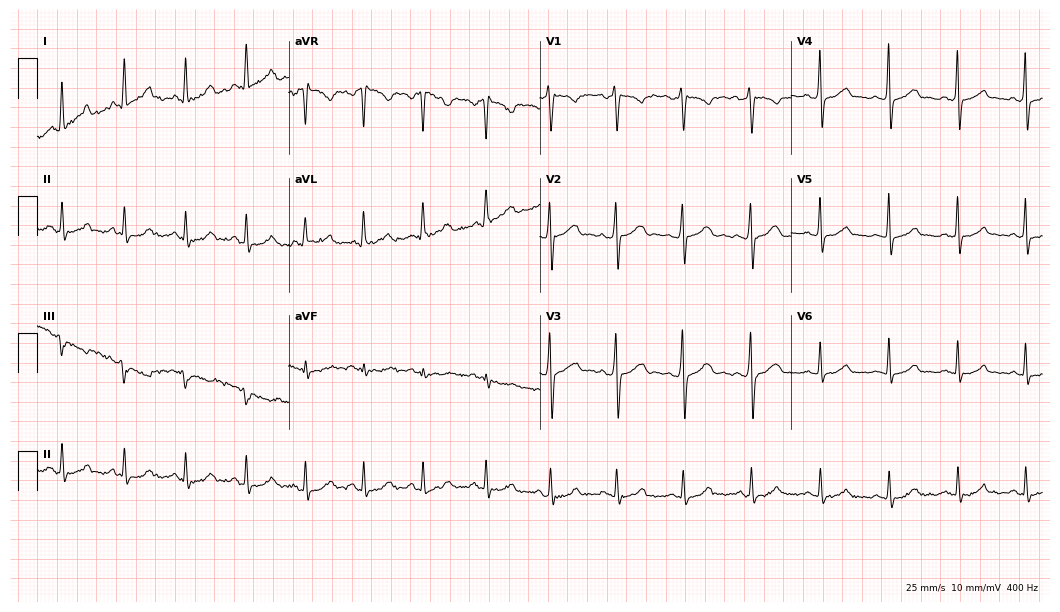
ECG (10.2-second recording at 400 Hz) — a woman, 33 years old. Labelled as a normal ECG.